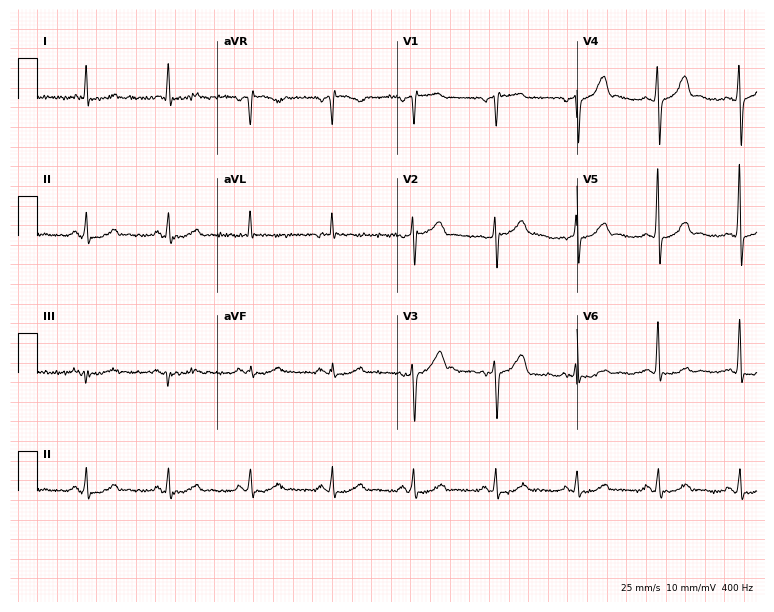
12-lead ECG (7.3-second recording at 400 Hz) from a 61-year-old man. Screened for six findings — first-degree AV block, right bundle branch block, left bundle branch block, sinus bradycardia, atrial fibrillation, sinus tachycardia — none is recorded. Only these six findings were labelled.